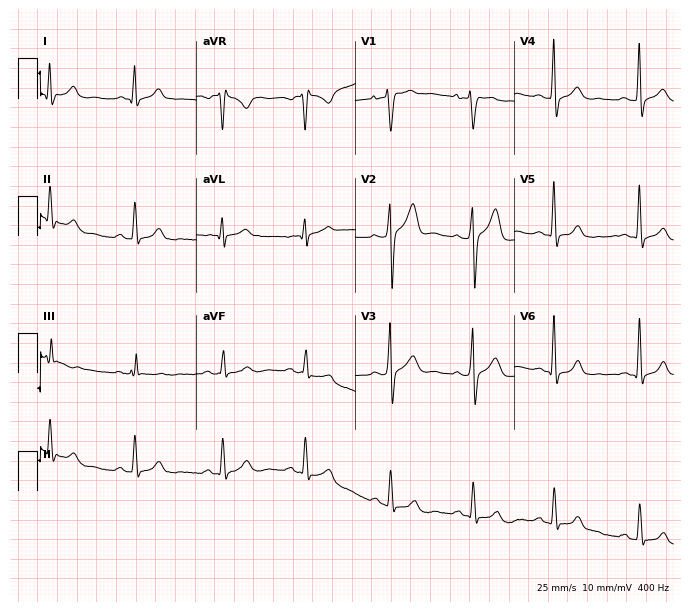
Electrocardiogram (6.5-second recording at 400 Hz), a 28-year-old male. Overall reading on record: normal ECG.